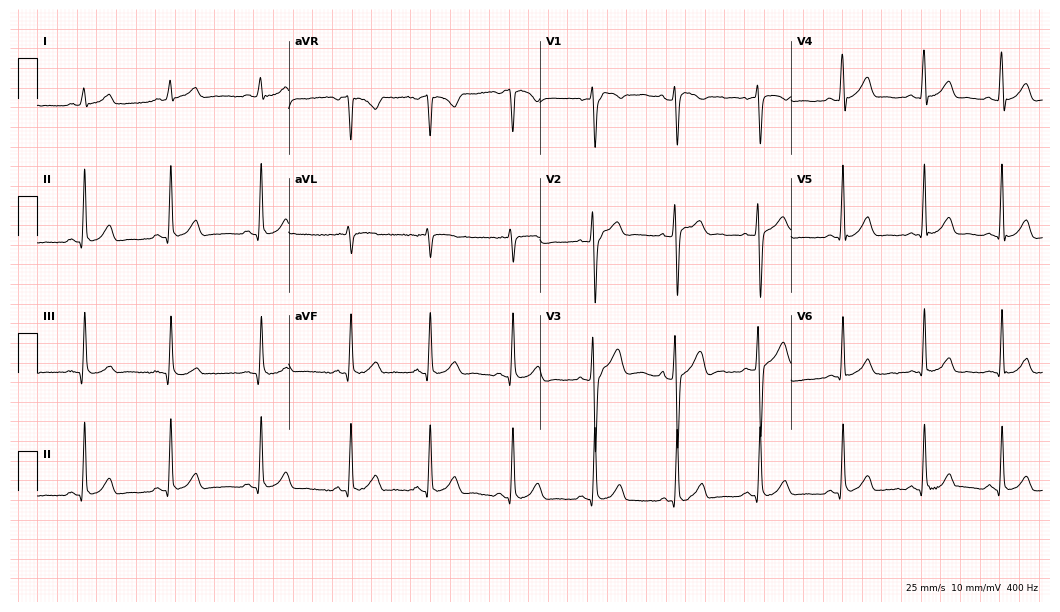
Standard 12-lead ECG recorded from a male, 40 years old. None of these six findings is recorded: first-degree AV block, right bundle branch block, left bundle branch block, sinus bradycardia, atrial fibrillation, sinus tachycardia. Other findings, if any, are not listed.